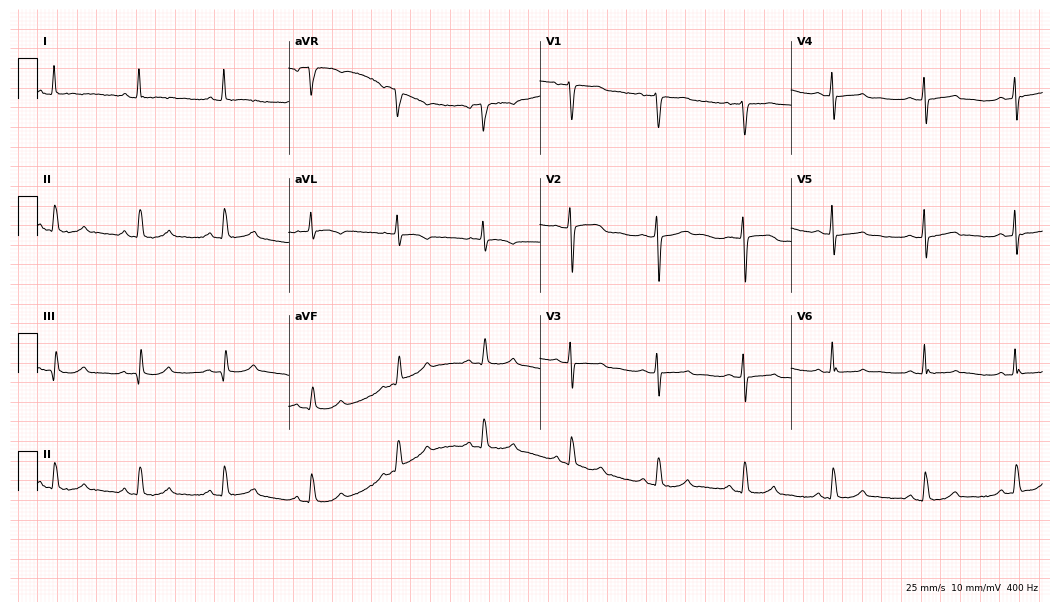
Electrocardiogram (10.2-second recording at 400 Hz), a 54-year-old female patient. Of the six screened findings (first-degree AV block, right bundle branch block (RBBB), left bundle branch block (LBBB), sinus bradycardia, atrial fibrillation (AF), sinus tachycardia), none is recorded.